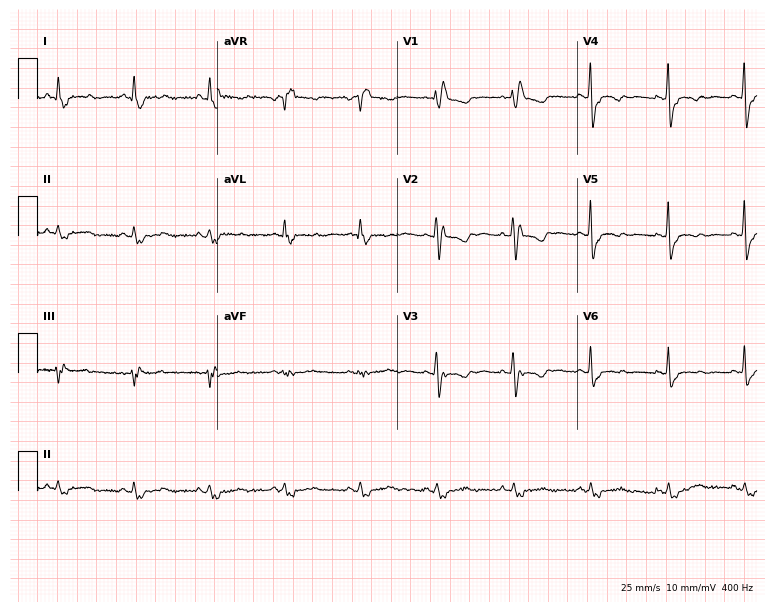
Resting 12-lead electrocardiogram. Patient: a 60-year-old female. None of these six findings is recorded: first-degree AV block, right bundle branch block, left bundle branch block, sinus bradycardia, atrial fibrillation, sinus tachycardia.